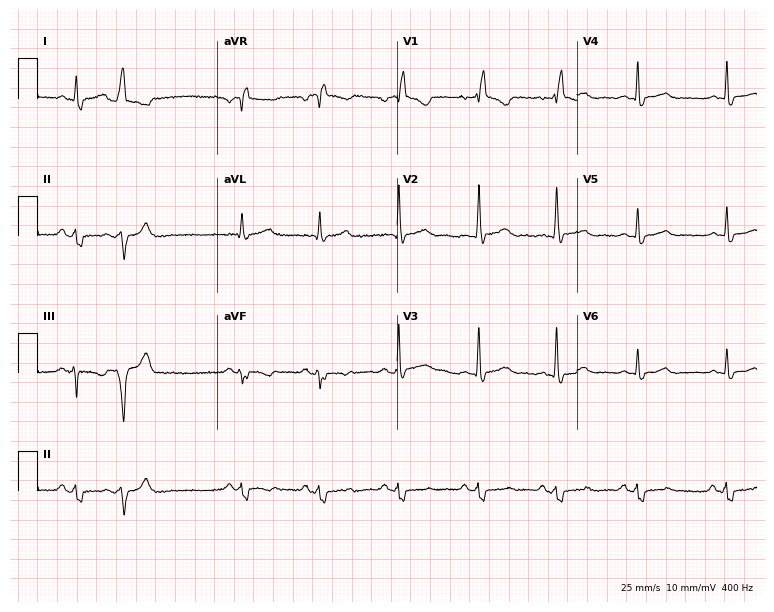
12-lead ECG from a woman, 42 years old. Shows right bundle branch block.